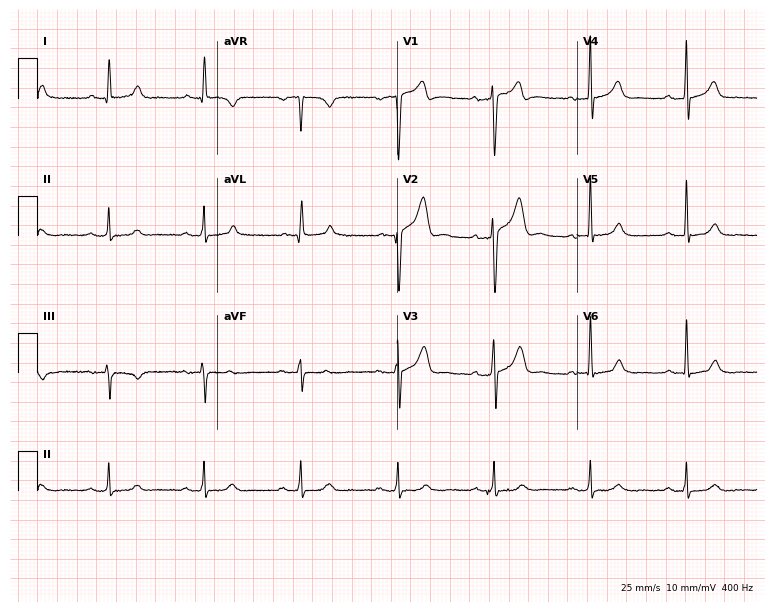
Electrocardiogram (7.3-second recording at 400 Hz), a man, 59 years old. Overall reading on record: normal ECG.